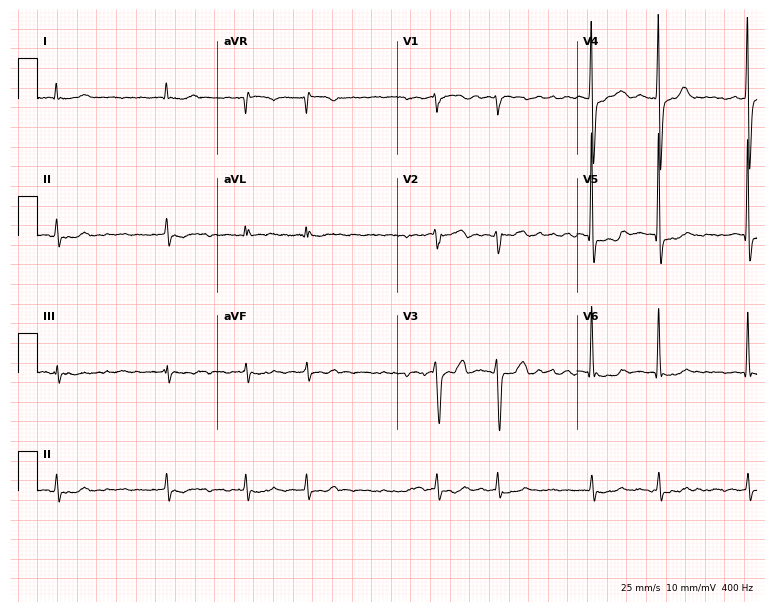
12-lead ECG from a woman, 84 years old. Findings include atrial fibrillation.